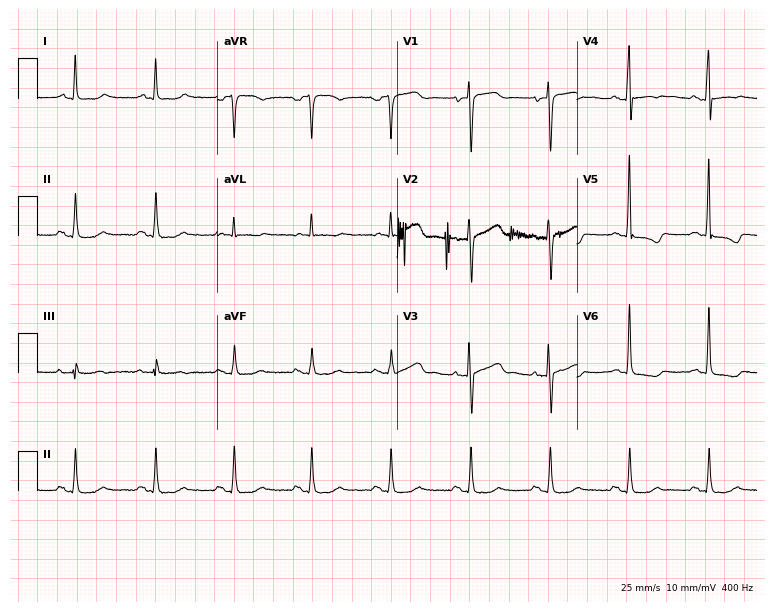
12-lead ECG from a man, 80 years old. Screened for six findings — first-degree AV block, right bundle branch block (RBBB), left bundle branch block (LBBB), sinus bradycardia, atrial fibrillation (AF), sinus tachycardia — none is recorded.